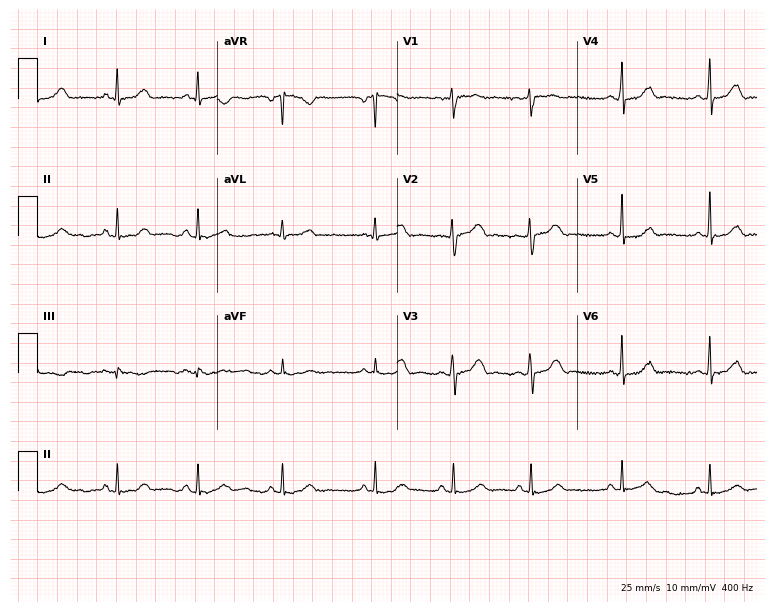
Electrocardiogram, a woman, 34 years old. Of the six screened findings (first-degree AV block, right bundle branch block, left bundle branch block, sinus bradycardia, atrial fibrillation, sinus tachycardia), none is recorded.